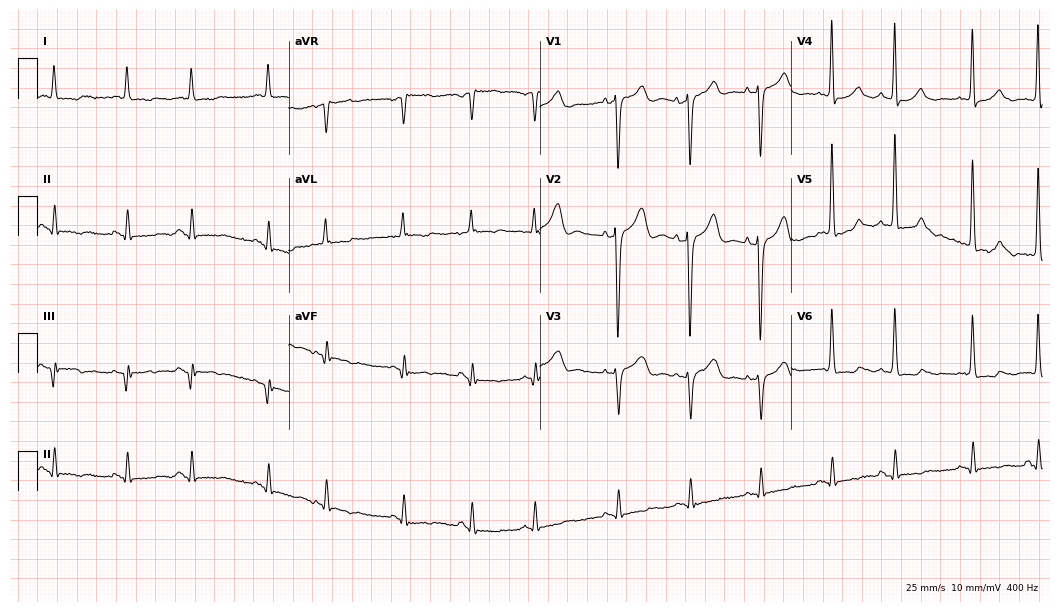
Electrocardiogram, a female patient, 69 years old. Of the six screened findings (first-degree AV block, right bundle branch block, left bundle branch block, sinus bradycardia, atrial fibrillation, sinus tachycardia), none is recorded.